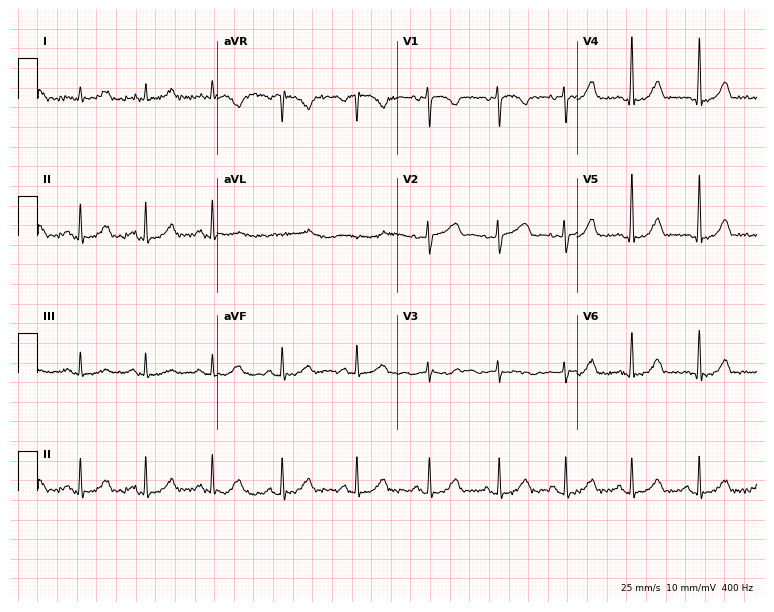
Electrocardiogram (7.3-second recording at 400 Hz), a female patient, 29 years old. Overall reading on record: normal ECG.